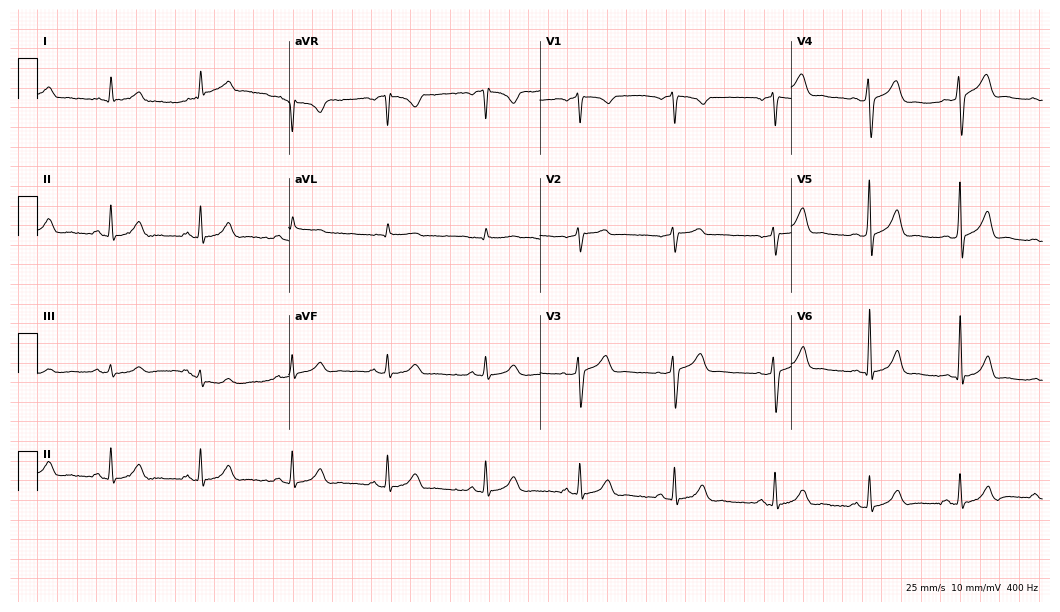
ECG — a man, 47 years old. Labelled as a normal ECG.